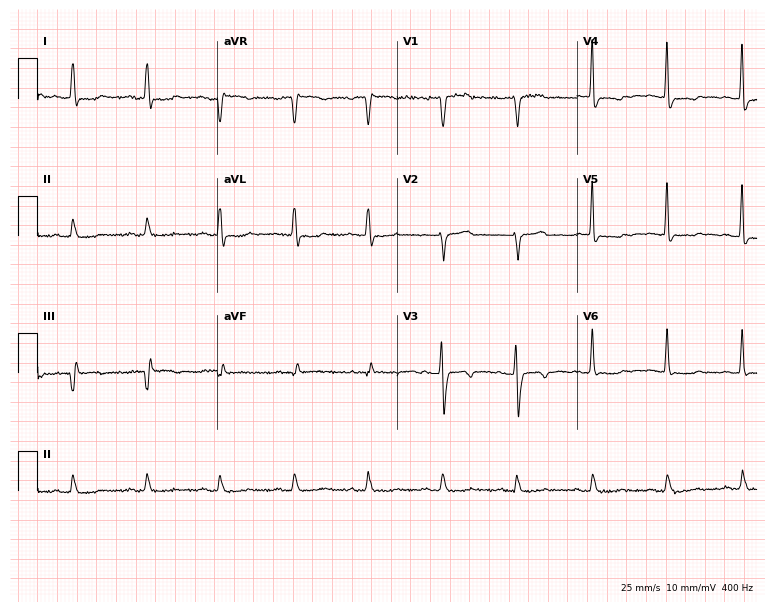
Electrocardiogram, a woman, 73 years old. Of the six screened findings (first-degree AV block, right bundle branch block, left bundle branch block, sinus bradycardia, atrial fibrillation, sinus tachycardia), none is recorded. Only these six findings were labelled.